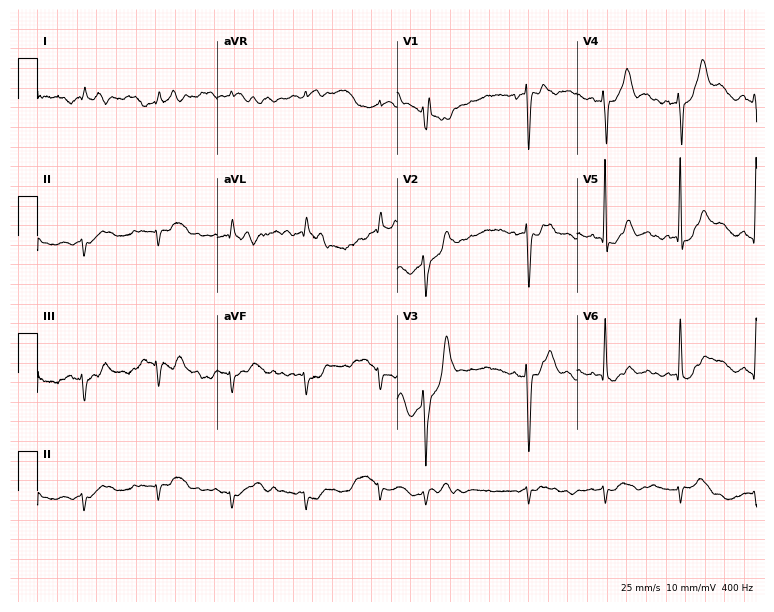
ECG — a 62-year-old female. Screened for six findings — first-degree AV block, right bundle branch block, left bundle branch block, sinus bradycardia, atrial fibrillation, sinus tachycardia — none is recorded. Findings outside these six are not listed.